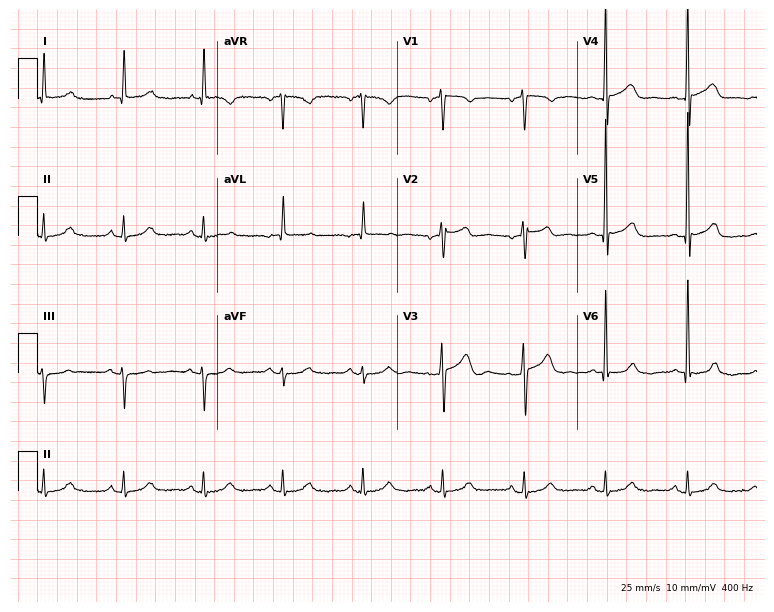
ECG (7.3-second recording at 400 Hz) — a 77-year-old man. Labelled as a normal ECG.